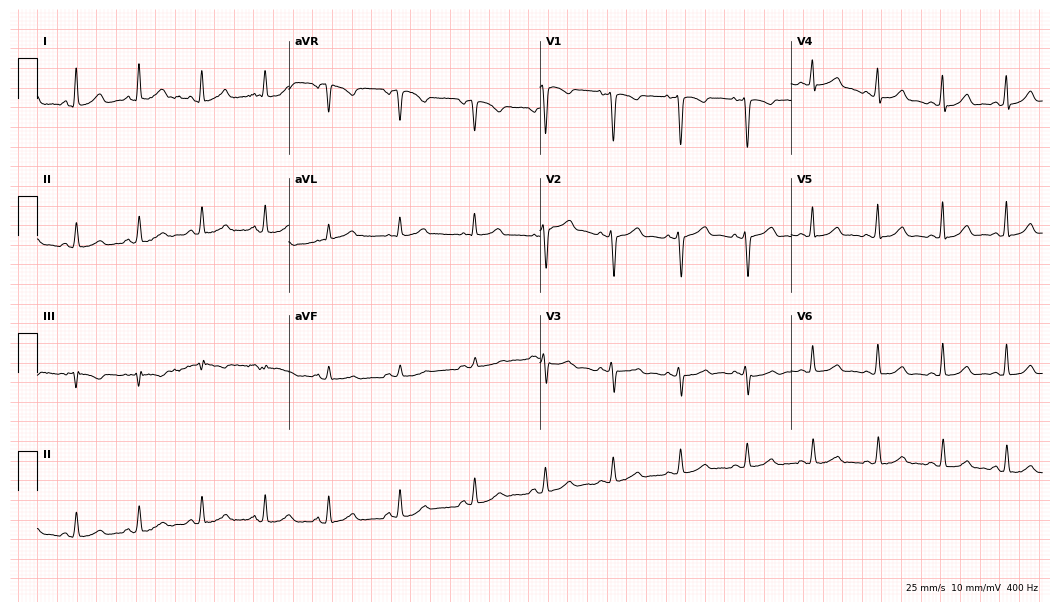
12-lead ECG (10.2-second recording at 400 Hz) from a woman, 48 years old. Labelled as a normal ECG.